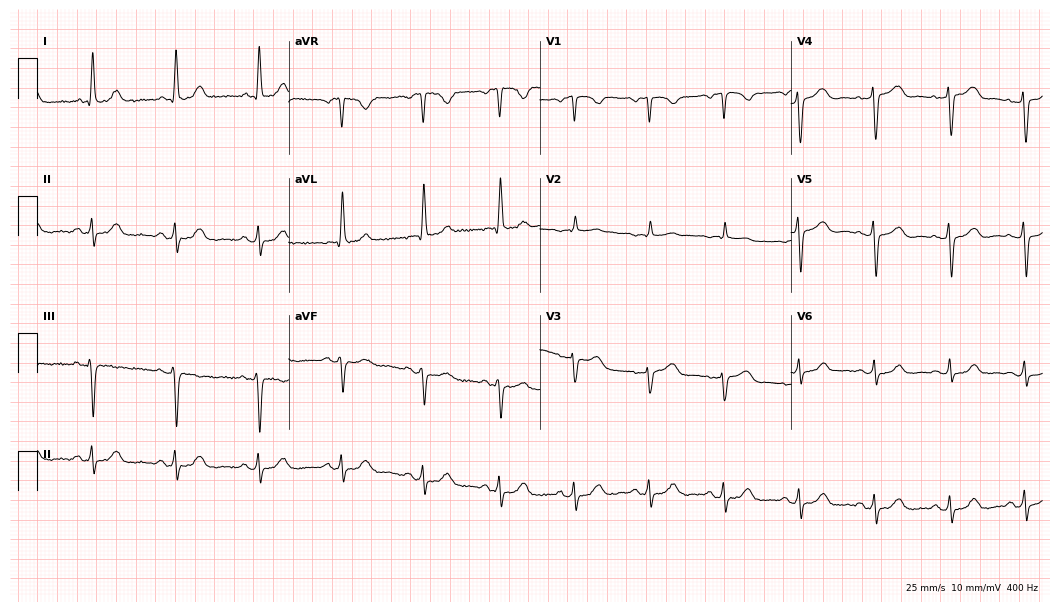
12-lead ECG from a female, 81 years old. Screened for six findings — first-degree AV block, right bundle branch block, left bundle branch block, sinus bradycardia, atrial fibrillation, sinus tachycardia — none is recorded.